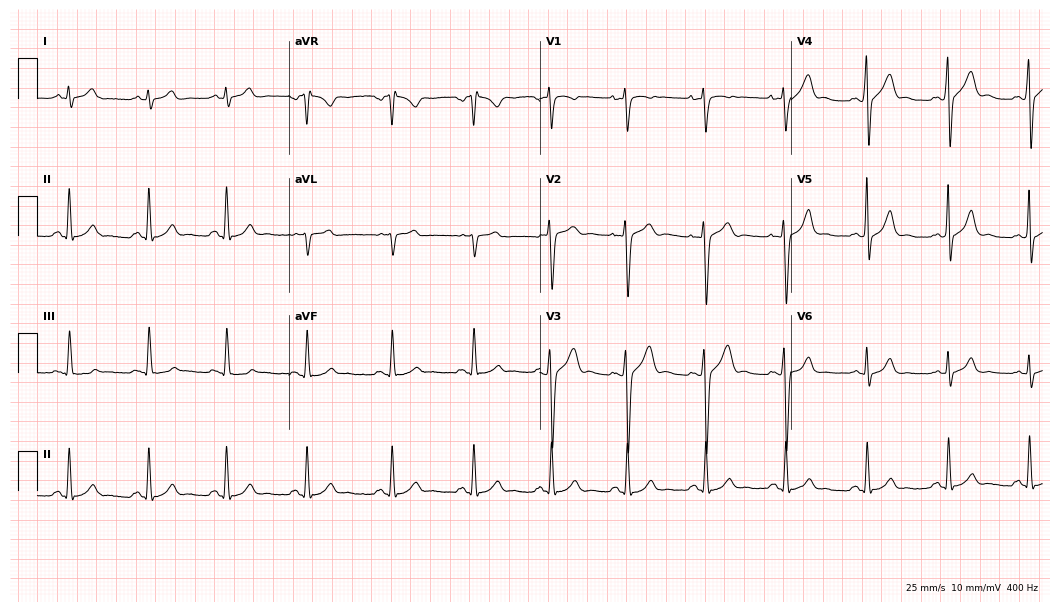
12-lead ECG from a male, 22 years old (10.2-second recording at 400 Hz). Recorded interpretation: within normal limits.